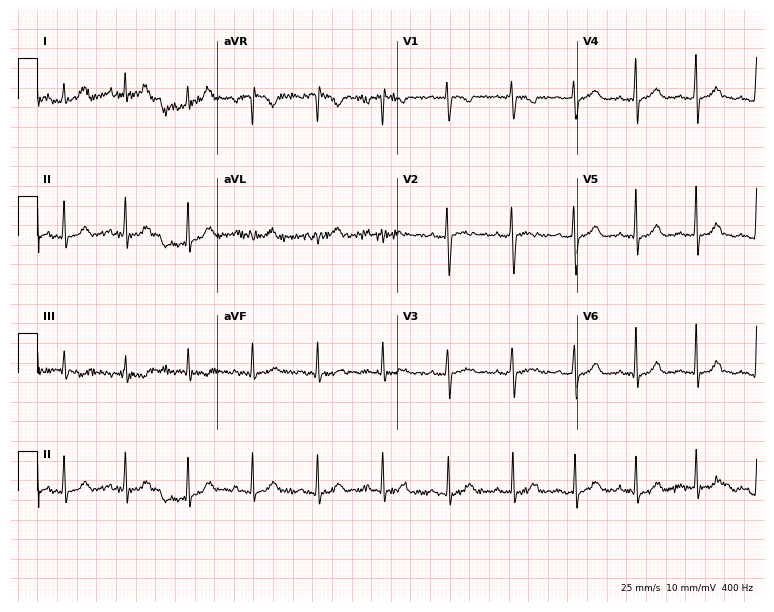
12-lead ECG from a woman, 22 years old (7.3-second recording at 400 Hz). No first-degree AV block, right bundle branch block (RBBB), left bundle branch block (LBBB), sinus bradycardia, atrial fibrillation (AF) or sinus tachycardia recorded for this tracing.